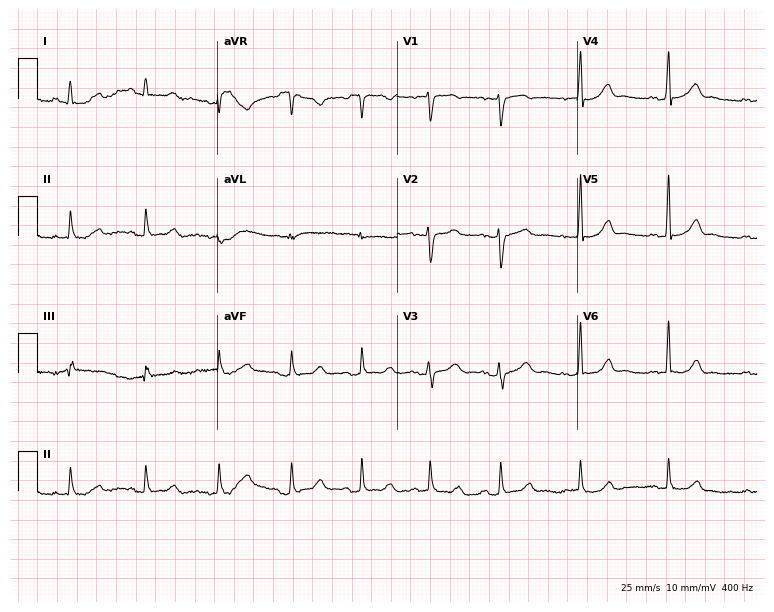
ECG (7.3-second recording at 400 Hz) — a female patient, 28 years old. Labelled as a normal ECG.